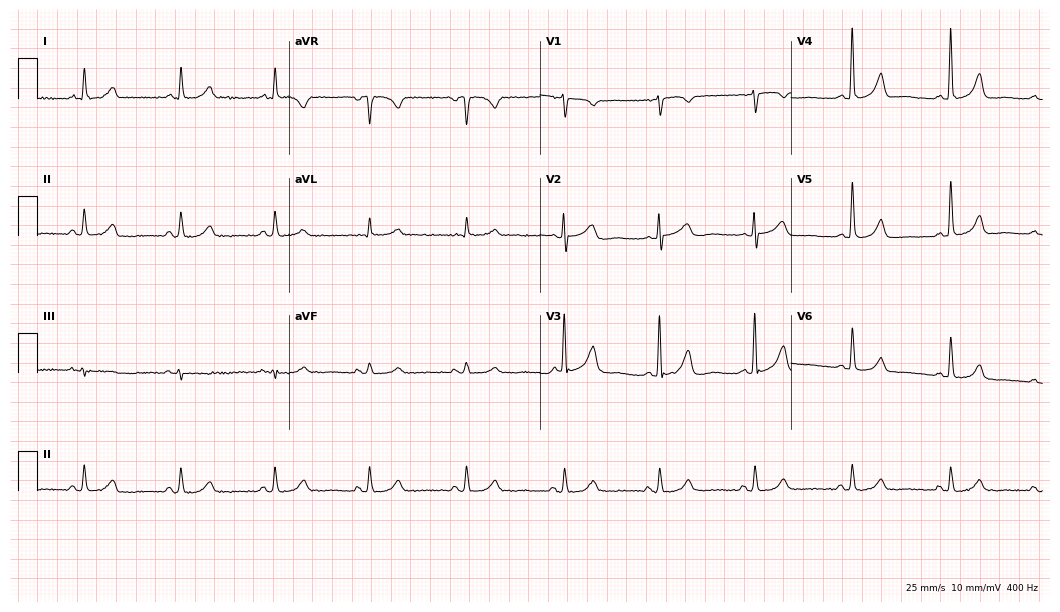
Electrocardiogram (10.2-second recording at 400 Hz), a 65-year-old female patient. Overall reading on record: normal ECG.